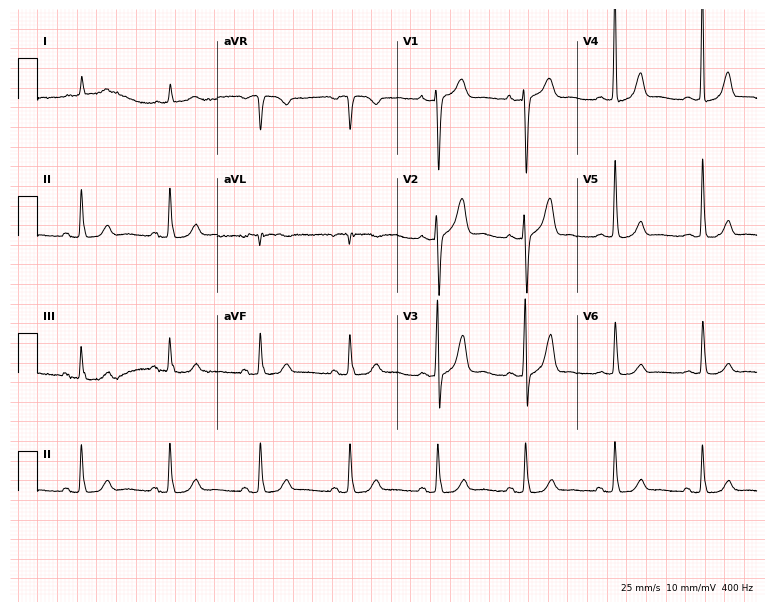
ECG (7.3-second recording at 400 Hz) — a woman, 79 years old. Screened for six findings — first-degree AV block, right bundle branch block, left bundle branch block, sinus bradycardia, atrial fibrillation, sinus tachycardia — none is recorded.